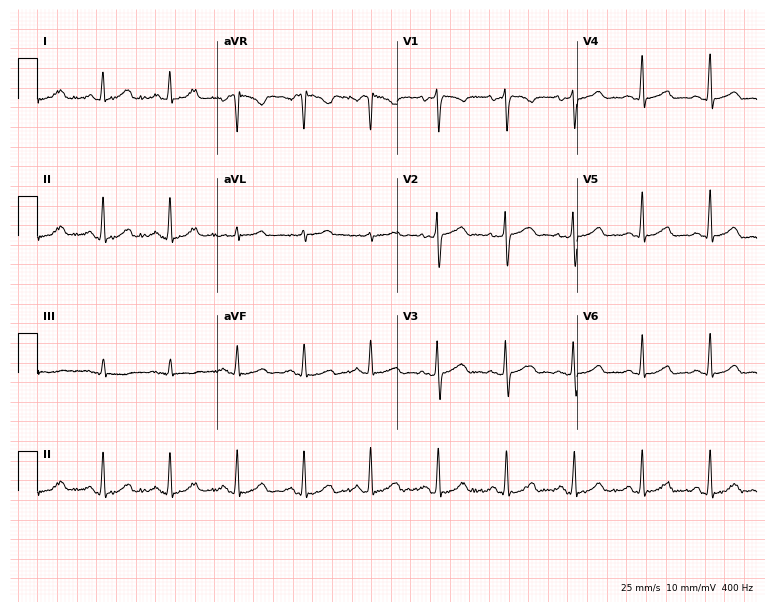
Resting 12-lead electrocardiogram (7.3-second recording at 400 Hz). Patient: a female, 48 years old. None of these six findings is recorded: first-degree AV block, right bundle branch block, left bundle branch block, sinus bradycardia, atrial fibrillation, sinus tachycardia.